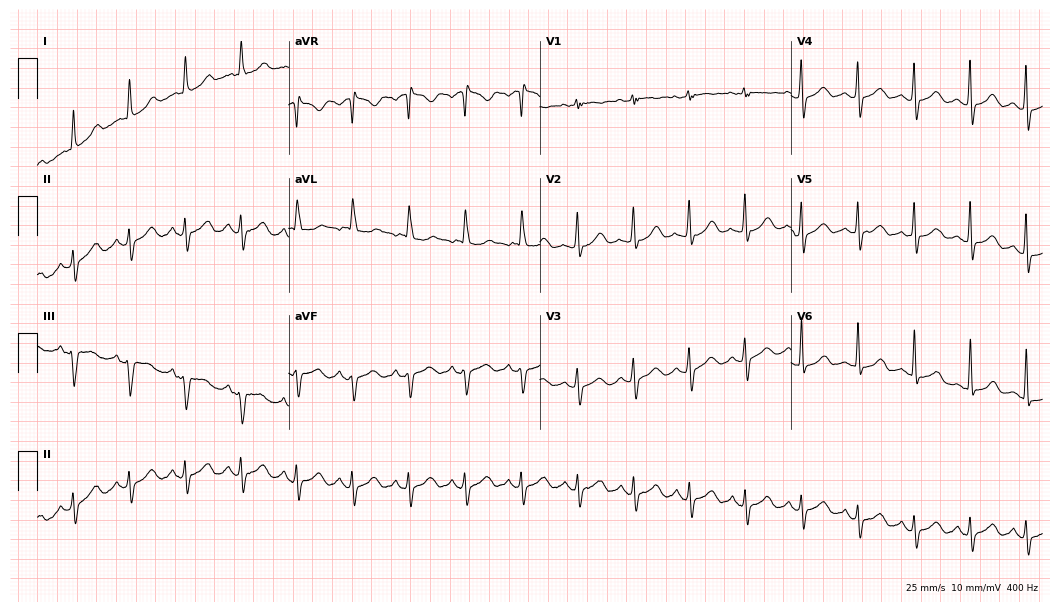
12-lead ECG from a woman, 74 years old (10.2-second recording at 400 Hz). No first-degree AV block, right bundle branch block (RBBB), left bundle branch block (LBBB), sinus bradycardia, atrial fibrillation (AF) or sinus tachycardia recorded for this tracing. Other findings, if any, are not listed.